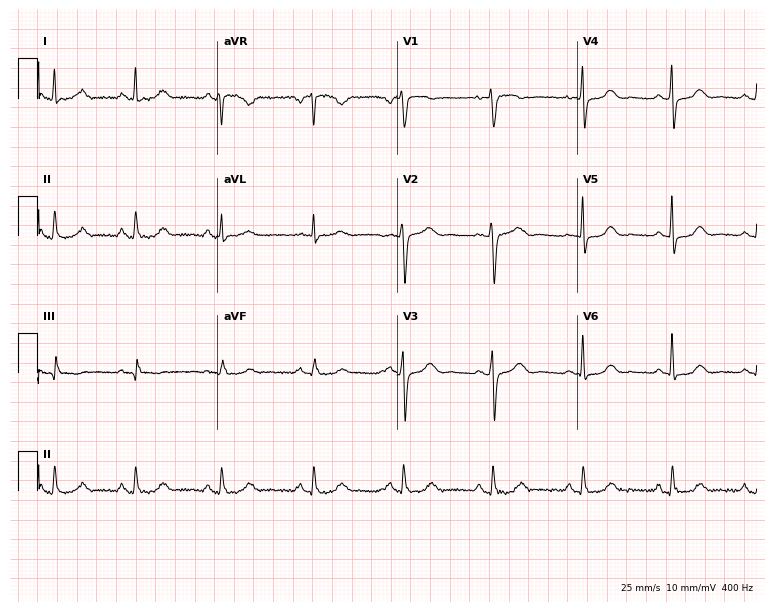
ECG (7.3-second recording at 400 Hz) — a 49-year-old female. Screened for six findings — first-degree AV block, right bundle branch block (RBBB), left bundle branch block (LBBB), sinus bradycardia, atrial fibrillation (AF), sinus tachycardia — none is recorded. Findings outside these six are not listed.